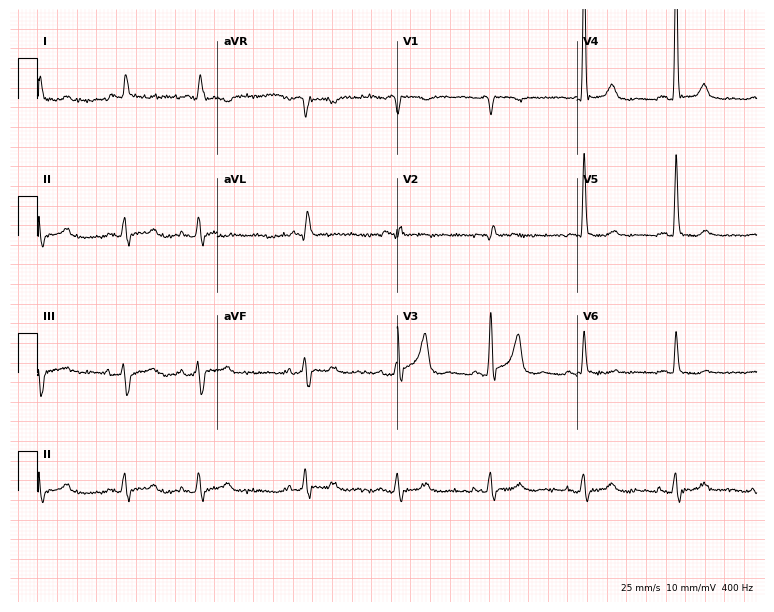
Electrocardiogram, a 63-year-old man. Of the six screened findings (first-degree AV block, right bundle branch block (RBBB), left bundle branch block (LBBB), sinus bradycardia, atrial fibrillation (AF), sinus tachycardia), none is recorded. Only these six findings were labelled.